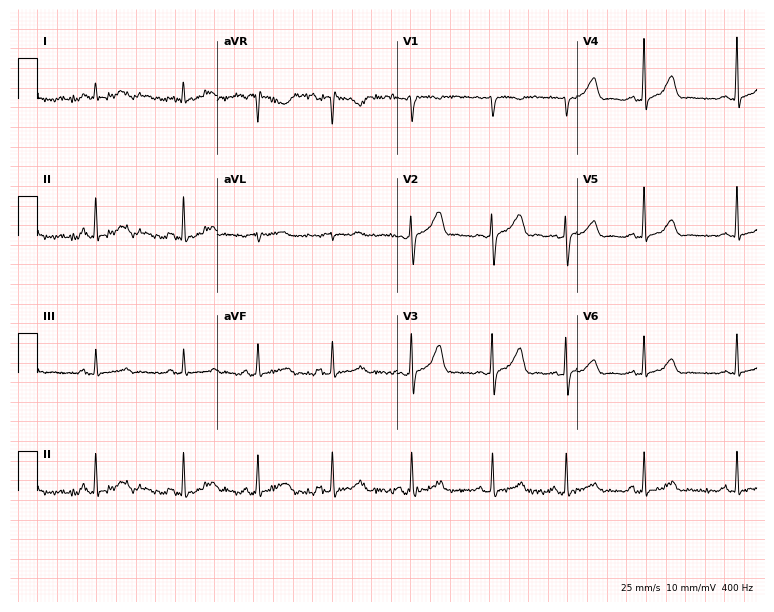
12-lead ECG from a 32-year-old female. No first-degree AV block, right bundle branch block, left bundle branch block, sinus bradycardia, atrial fibrillation or sinus tachycardia recorded for this tracing. Only these six findings were labelled.